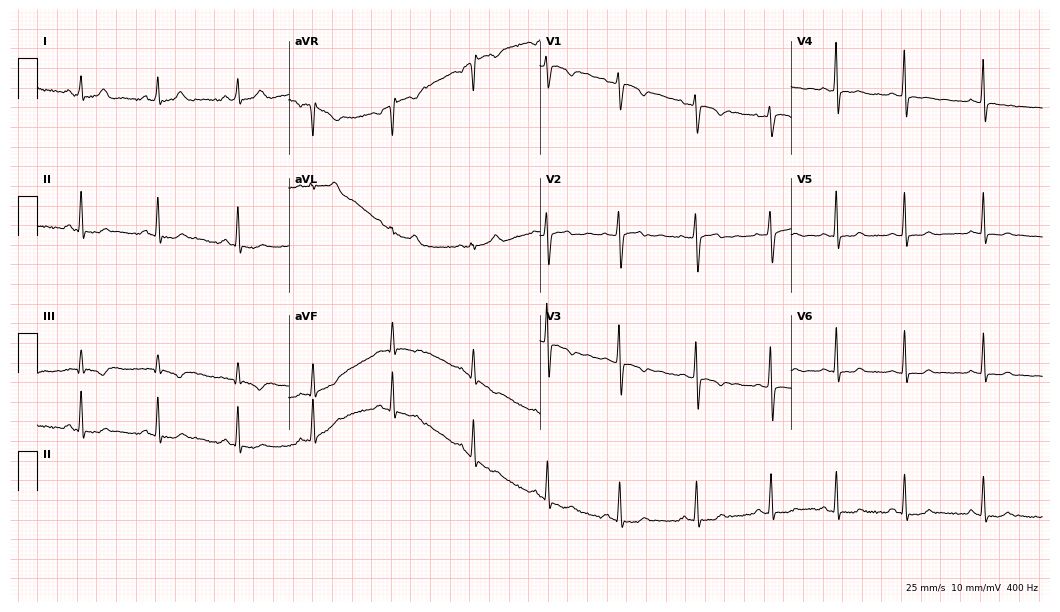
Standard 12-lead ECG recorded from a female patient, 36 years old. None of these six findings is recorded: first-degree AV block, right bundle branch block, left bundle branch block, sinus bradycardia, atrial fibrillation, sinus tachycardia.